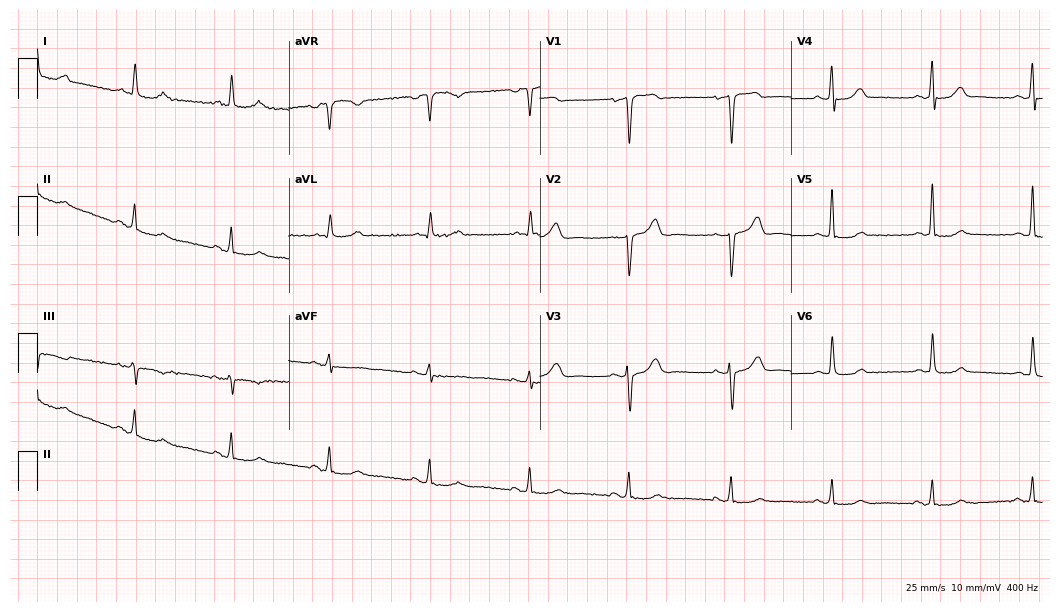
Resting 12-lead electrocardiogram. Patient: a 67-year-old male. None of these six findings is recorded: first-degree AV block, right bundle branch block, left bundle branch block, sinus bradycardia, atrial fibrillation, sinus tachycardia. Findings outside these six are not listed.